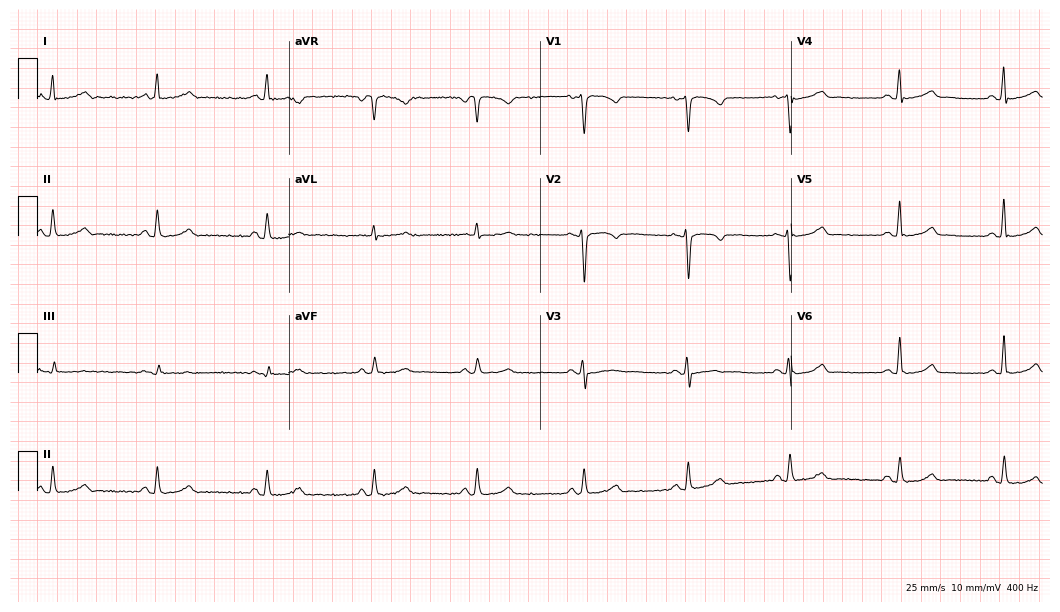
12-lead ECG (10.2-second recording at 400 Hz) from a woman, 31 years old. Labelled as a normal ECG.